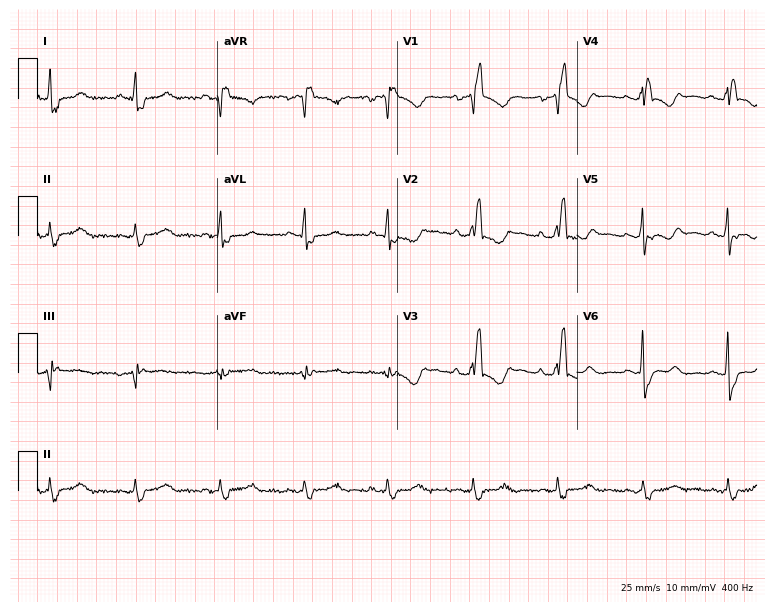
Resting 12-lead electrocardiogram. Patient: a woman, 63 years old. The tracing shows right bundle branch block.